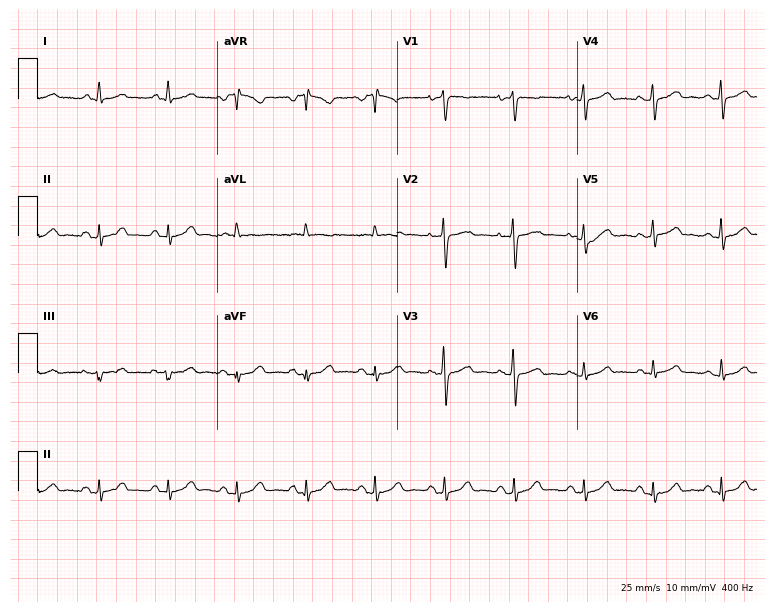
12-lead ECG (7.3-second recording at 400 Hz) from a female, 61 years old. Labelled as a normal ECG.